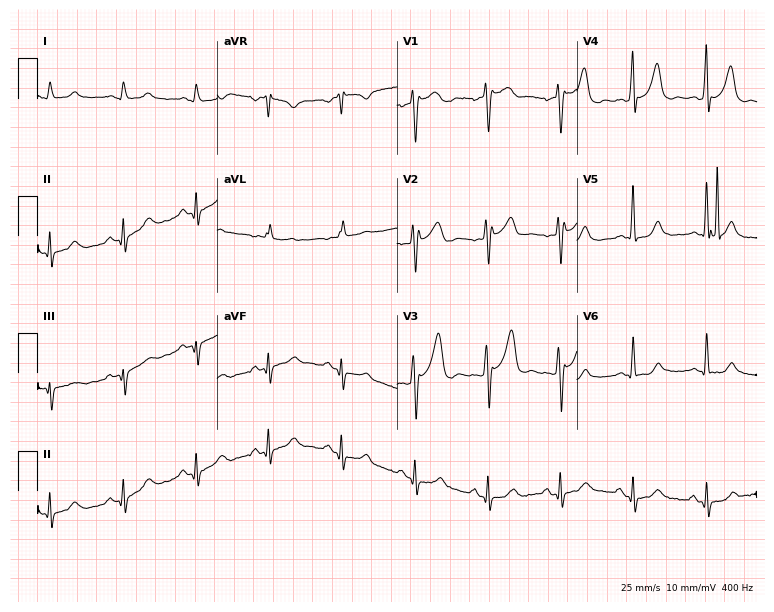
Electrocardiogram, a man, 74 years old. Of the six screened findings (first-degree AV block, right bundle branch block, left bundle branch block, sinus bradycardia, atrial fibrillation, sinus tachycardia), none is recorded. Only these six findings were labelled.